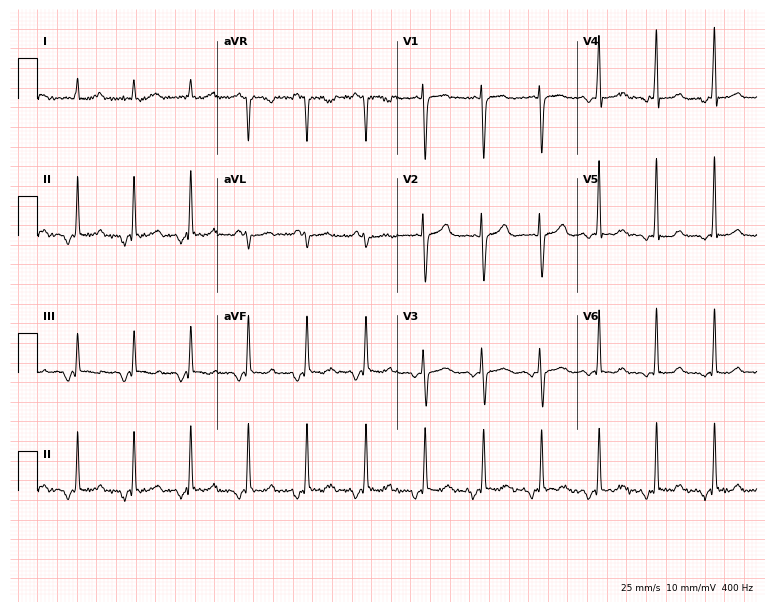
12-lead ECG from a 61-year-old woman. No first-degree AV block, right bundle branch block, left bundle branch block, sinus bradycardia, atrial fibrillation or sinus tachycardia recorded for this tracing.